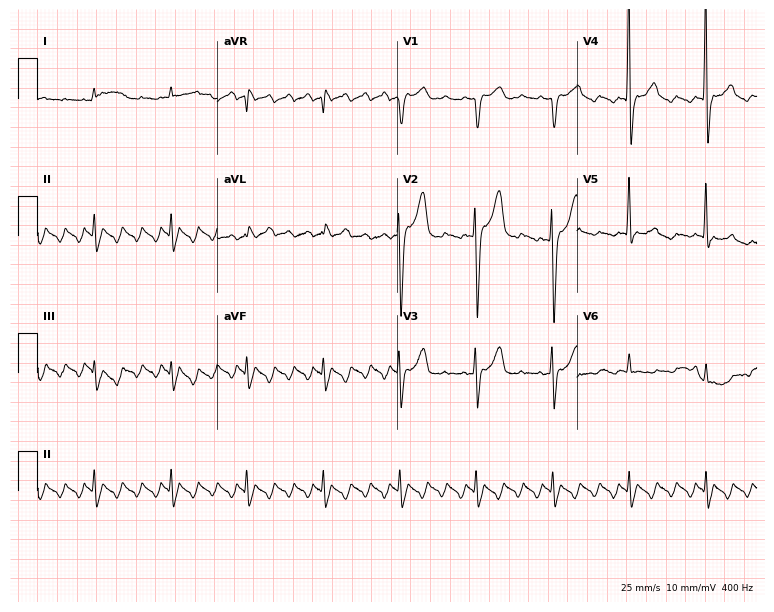
12-lead ECG (7.3-second recording at 400 Hz) from an 85-year-old male. Labelled as a normal ECG.